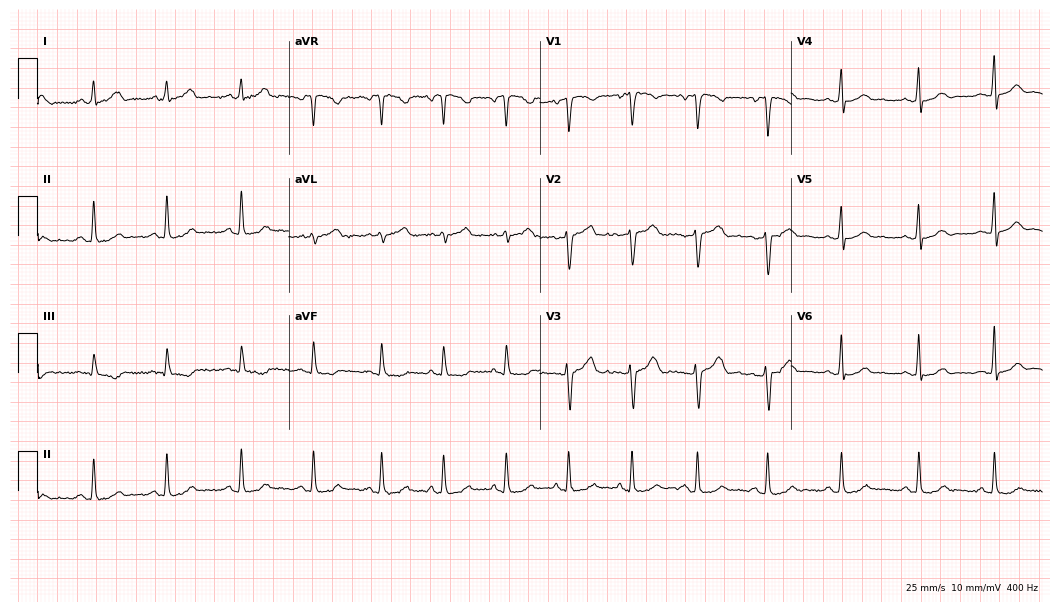
12-lead ECG (10.2-second recording at 400 Hz) from a female patient, 37 years old. Labelled as a normal ECG.